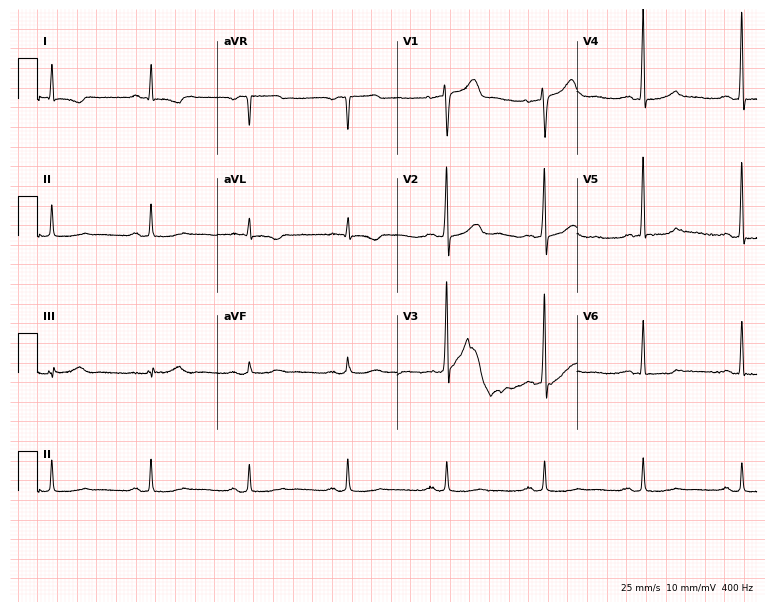
12-lead ECG from a man, 64 years old. Recorded interpretation: within normal limits.